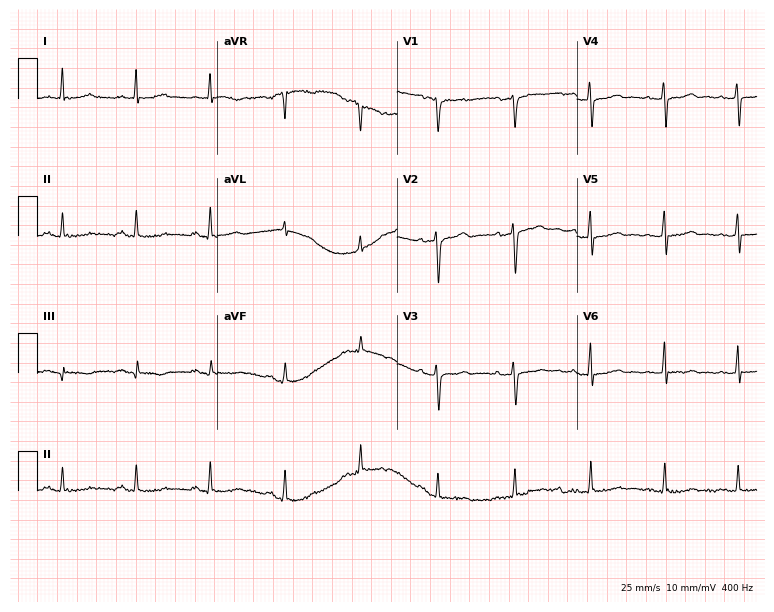
12-lead ECG from a 55-year-old female patient. Screened for six findings — first-degree AV block, right bundle branch block, left bundle branch block, sinus bradycardia, atrial fibrillation, sinus tachycardia — none is recorded.